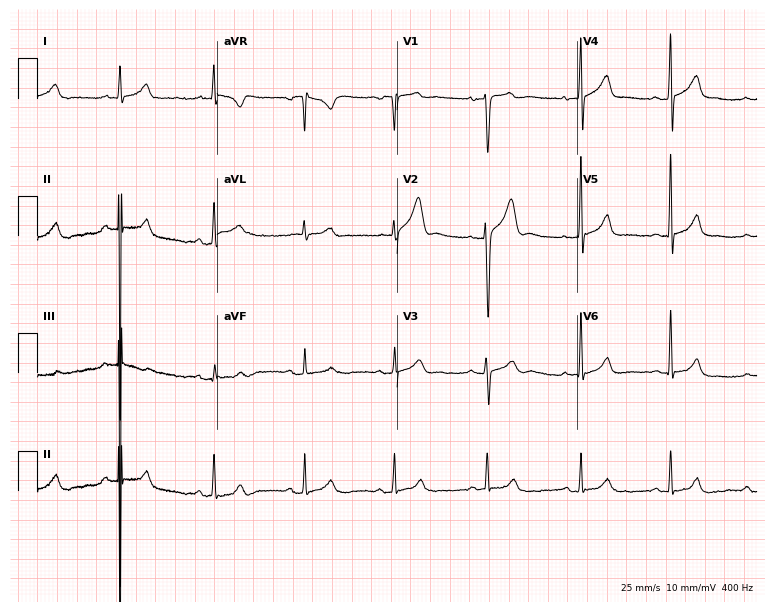
ECG — a 22-year-old male patient. Labelled as a normal ECG.